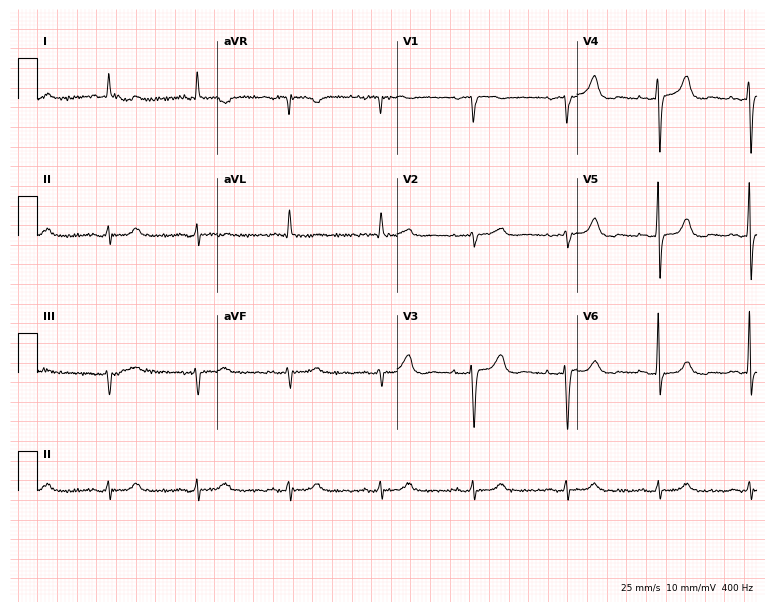
Standard 12-lead ECG recorded from an 81-year-old woman. None of these six findings is recorded: first-degree AV block, right bundle branch block, left bundle branch block, sinus bradycardia, atrial fibrillation, sinus tachycardia.